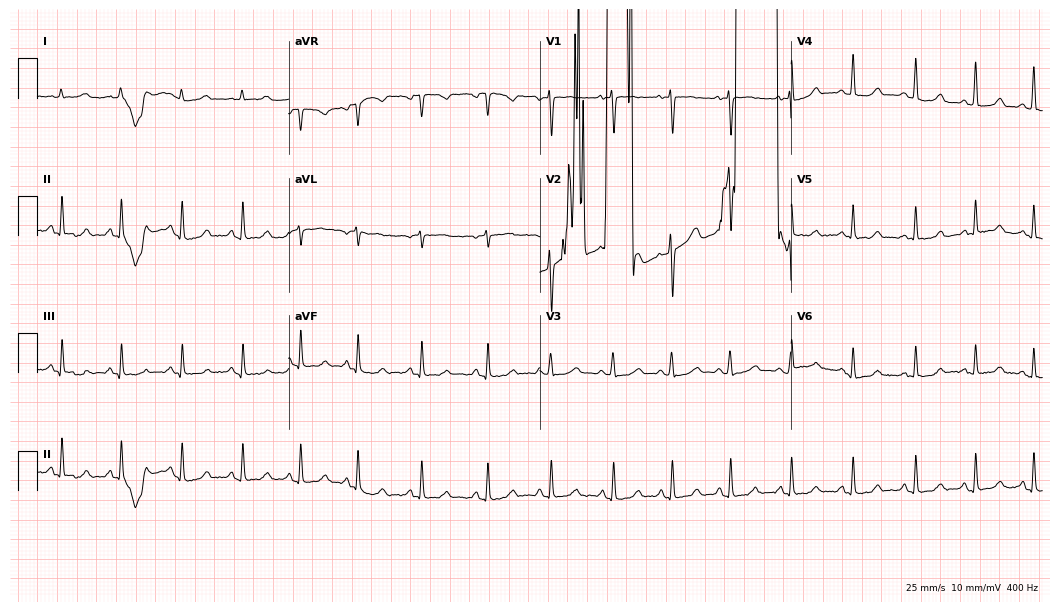
12-lead ECG (10.2-second recording at 400 Hz) from a 21-year-old woman. Screened for six findings — first-degree AV block, right bundle branch block, left bundle branch block, sinus bradycardia, atrial fibrillation, sinus tachycardia — none is recorded.